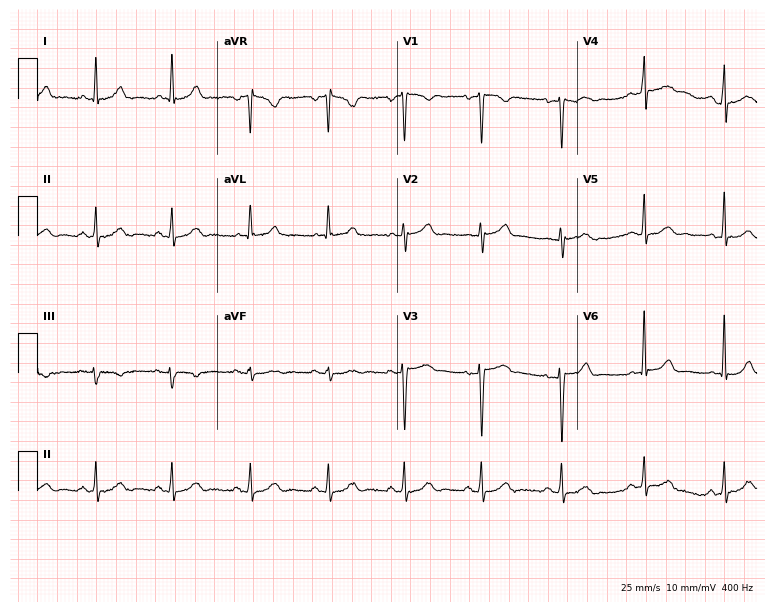
Resting 12-lead electrocardiogram (7.3-second recording at 400 Hz). Patient: a 38-year-old female. None of these six findings is recorded: first-degree AV block, right bundle branch block, left bundle branch block, sinus bradycardia, atrial fibrillation, sinus tachycardia. Other findings, if any, are not listed.